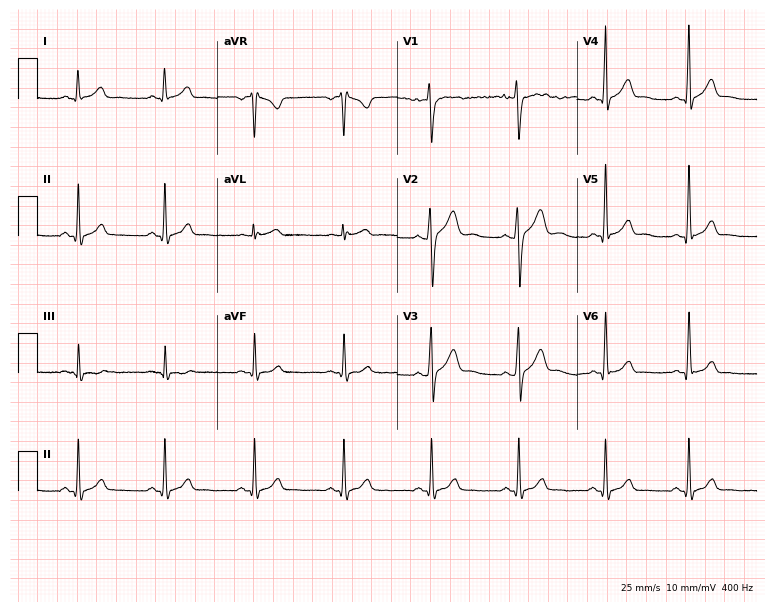
Electrocardiogram (7.3-second recording at 400 Hz), a male, 24 years old. Of the six screened findings (first-degree AV block, right bundle branch block, left bundle branch block, sinus bradycardia, atrial fibrillation, sinus tachycardia), none is recorded.